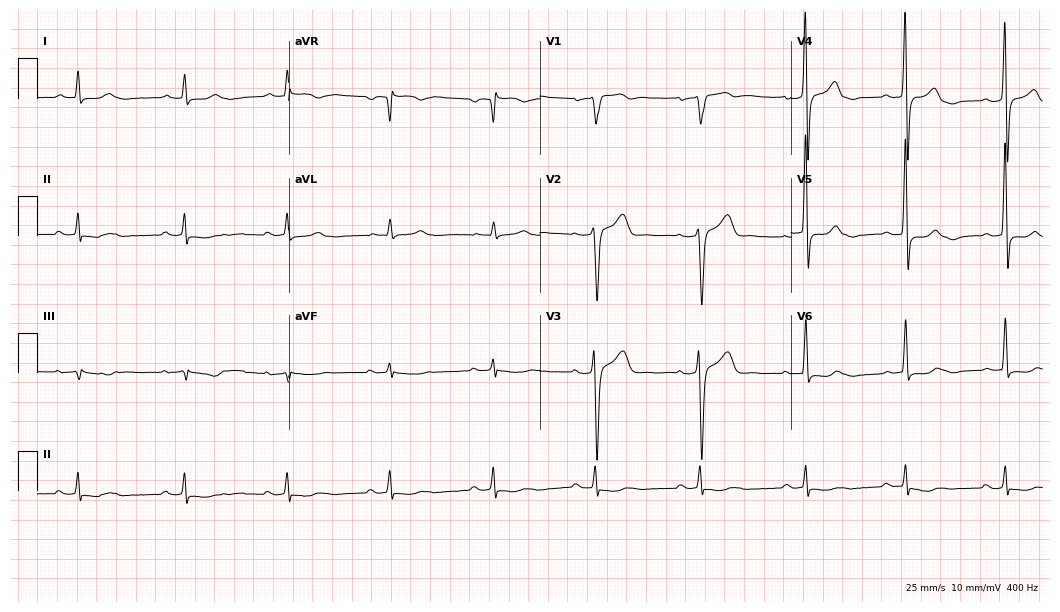
Standard 12-lead ECG recorded from a 51-year-old male. None of these six findings is recorded: first-degree AV block, right bundle branch block (RBBB), left bundle branch block (LBBB), sinus bradycardia, atrial fibrillation (AF), sinus tachycardia.